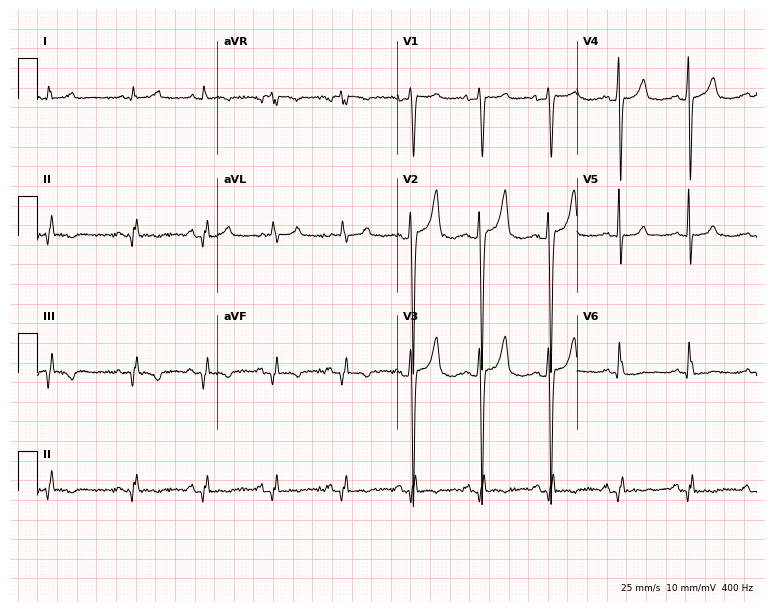
Electrocardiogram (7.3-second recording at 400 Hz), a male, 77 years old. Overall reading on record: normal ECG.